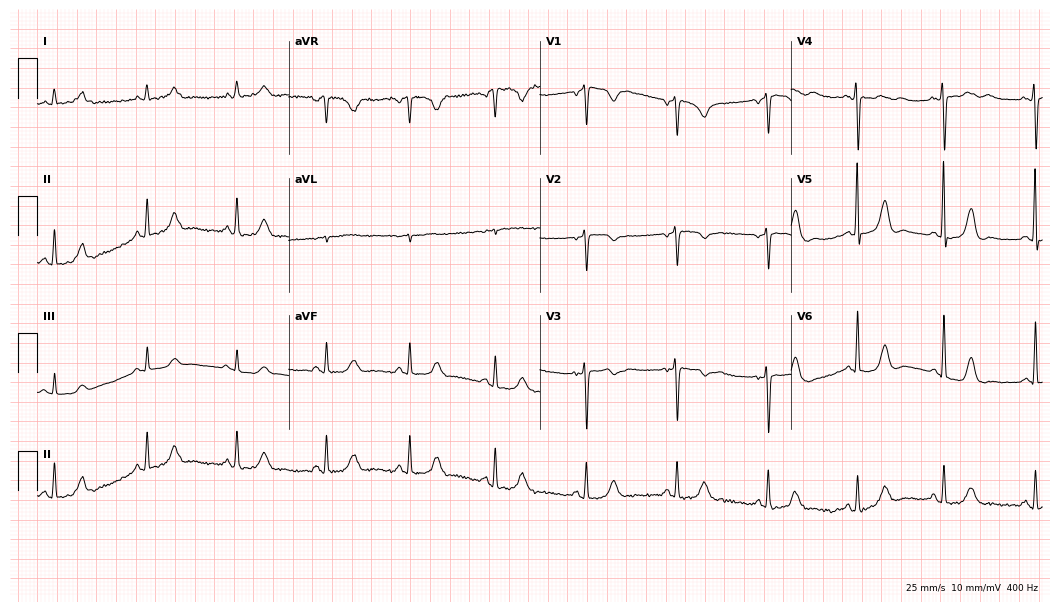
12-lead ECG (10.2-second recording at 400 Hz) from a 76-year-old woman. Screened for six findings — first-degree AV block, right bundle branch block, left bundle branch block, sinus bradycardia, atrial fibrillation, sinus tachycardia — none is recorded.